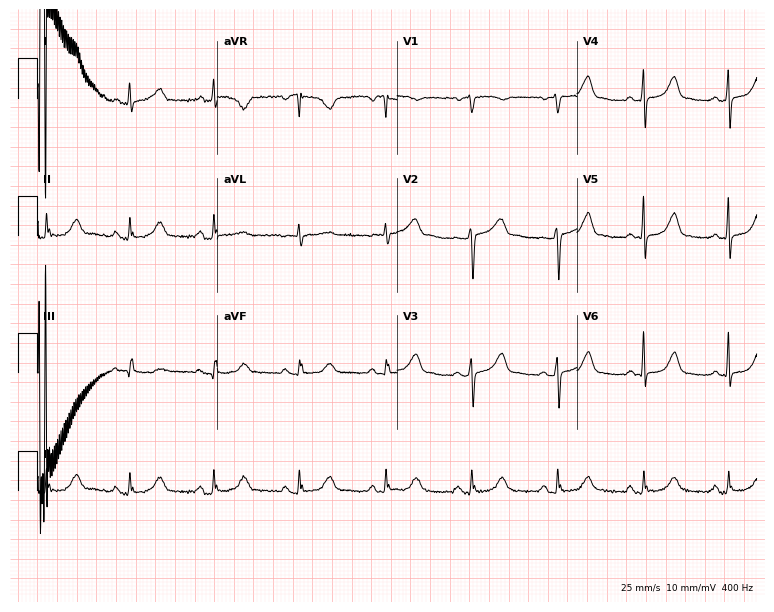
Standard 12-lead ECG recorded from a woman, 60 years old (7.3-second recording at 400 Hz). None of these six findings is recorded: first-degree AV block, right bundle branch block, left bundle branch block, sinus bradycardia, atrial fibrillation, sinus tachycardia.